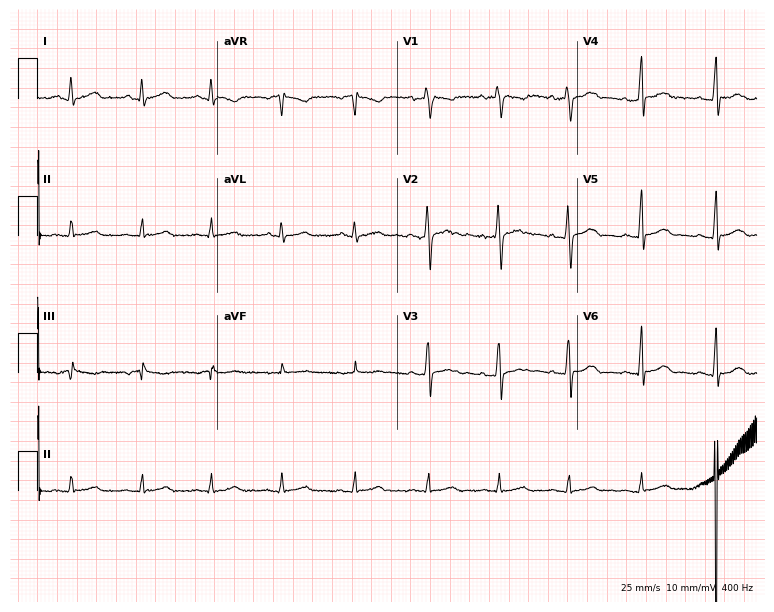
Standard 12-lead ECG recorded from a female, 22 years old (7.3-second recording at 400 Hz). Read as a normal ECG.